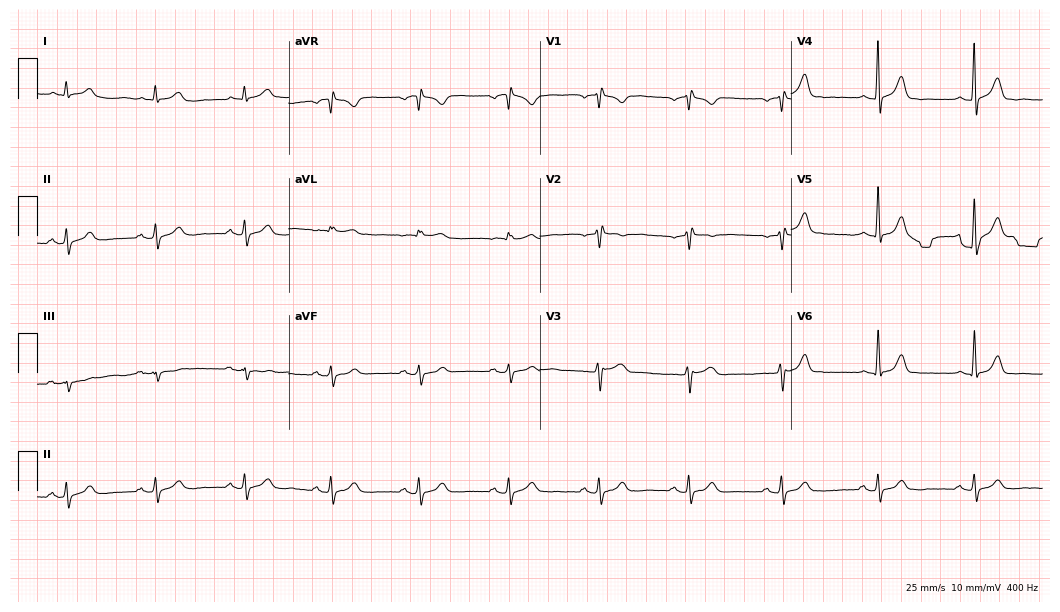
Standard 12-lead ECG recorded from a 58-year-old female patient (10.2-second recording at 400 Hz). Read as a normal ECG.